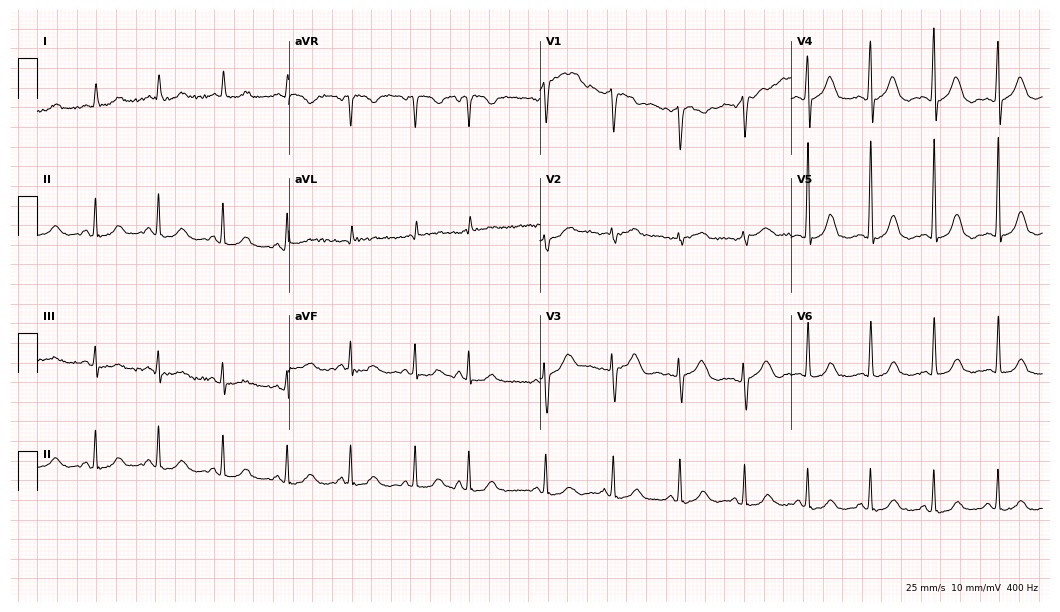
Electrocardiogram, a female, 75 years old. Of the six screened findings (first-degree AV block, right bundle branch block (RBBB), left bundle branch block (LBBB), sinus bradycardia, atrial fibrillation (AF), sinus tachycardia), none is recorded. Only these six findings were labelled.